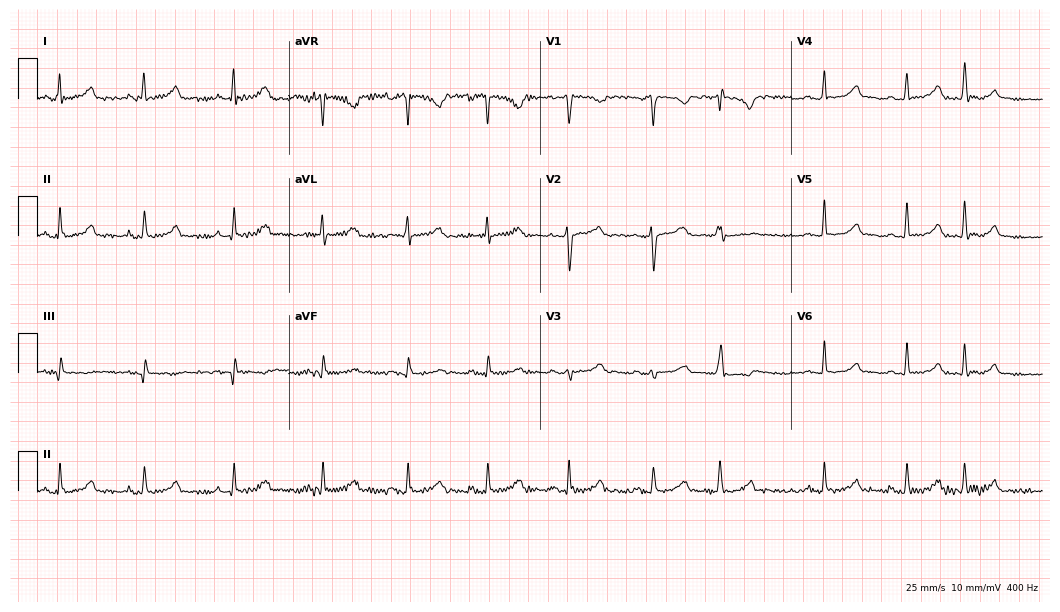
12-lead ECG from a 31-year-old female. Labelled as a normal ECG.